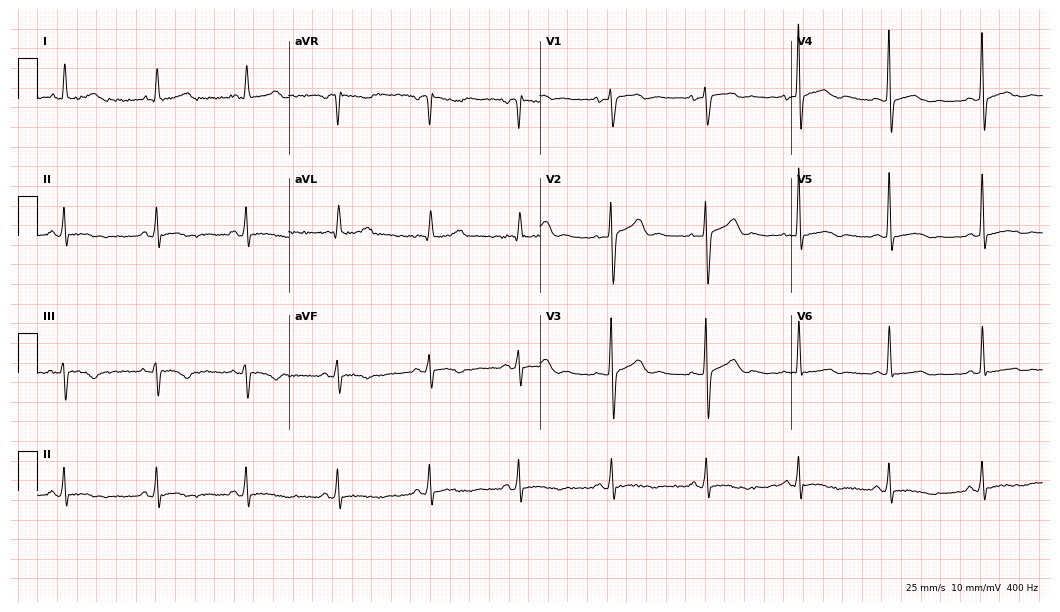
12-lead ECG (10.2-second recording at 400 Hz) from a woman, 62 years old. Screened for six findings — first-degree AV block, right bundle branch block, left bundle branch block, sinus bradycardia, atrial fibrillation, sinus tachycardia — none is recorded.